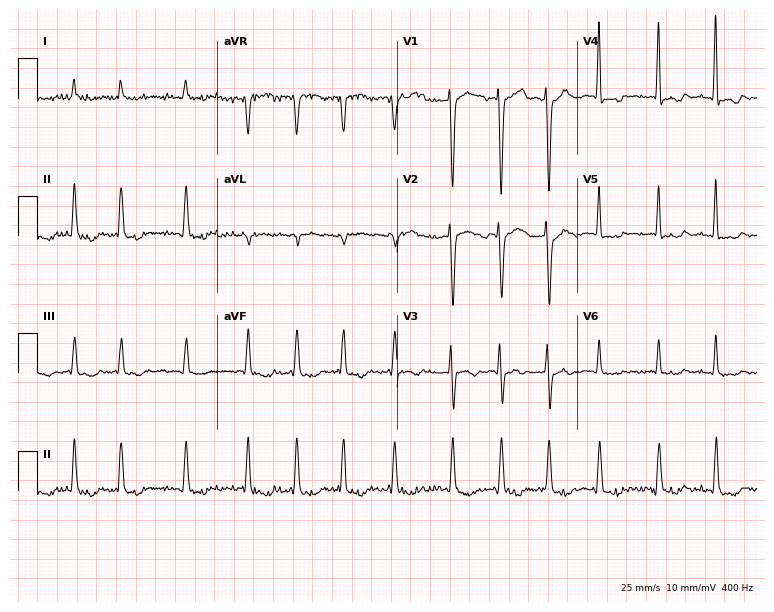
Electrocardiogram (7.3-second recording at 400 Hz), an 85-year-old woman. Interpretation includes atrial fibrillation.